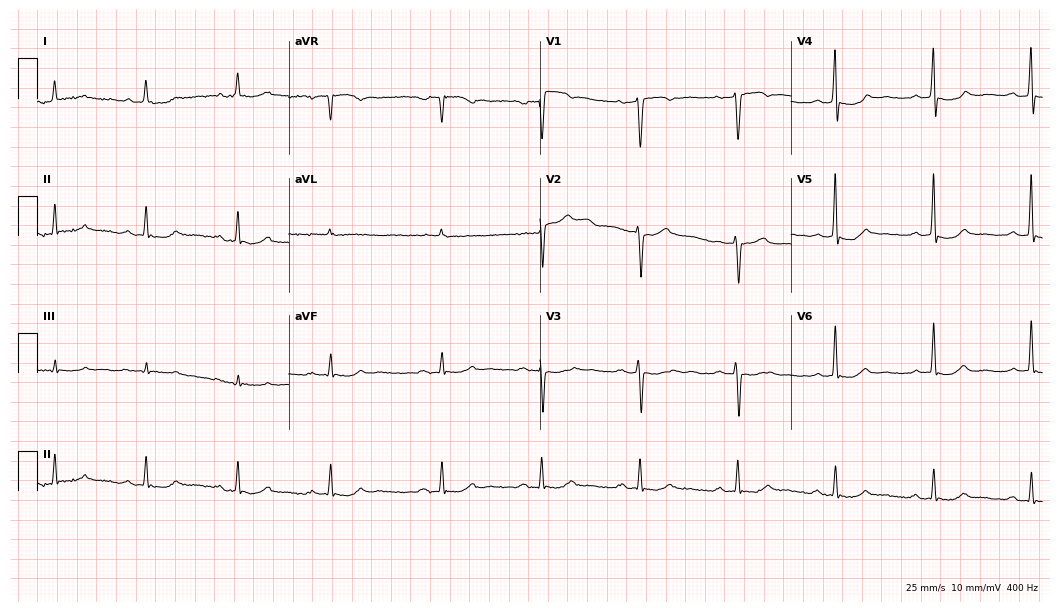
Standard 12-lead ECG recorded from a 70-year-old woman. None of these six findings is recorded: first-degree AV block, right bundle branch block, left bundle branch block, sinus bradycardia, atrial fibrillation, sinus tachycardia.